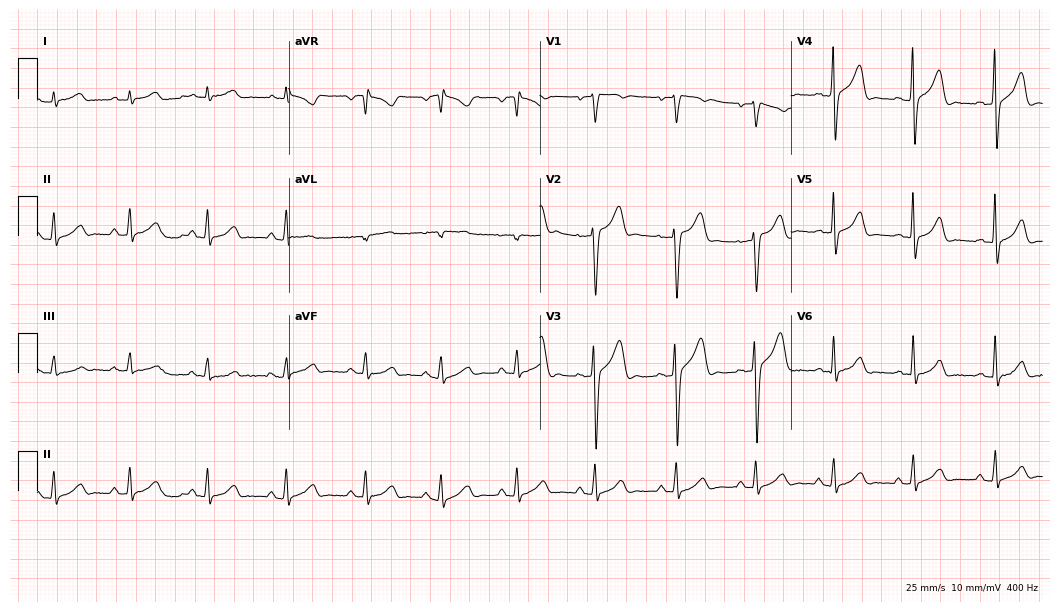
ECG — a 35-year-old male patient. Labelled as a normal ECG.